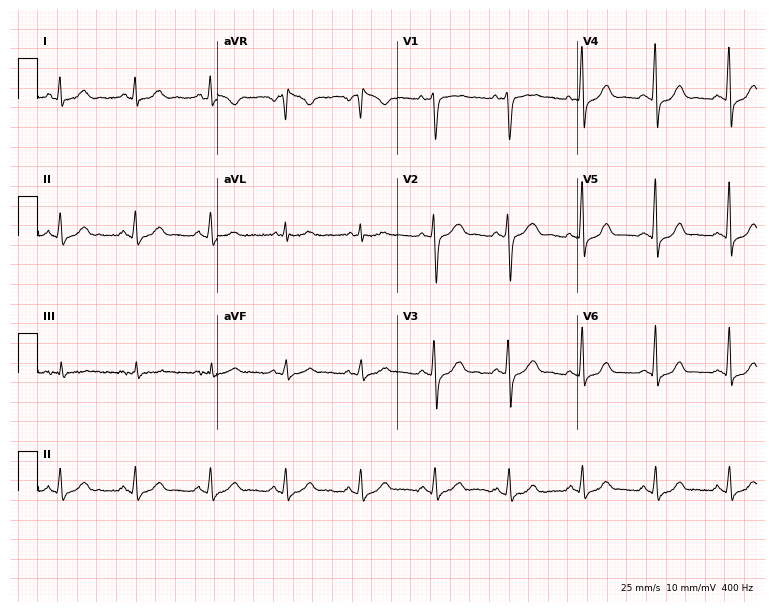
Resting 12-lead electrocardiogram (7.3-second recording at 400 Hz). Patient: a female, 59 years old. None of these six findings is recorded: first-degree AV block, right bundle branch block, left bundle branch block, sinus bradycardia, atrial fibrillation, sinus tachycardia. Other findings, if any, are not listed.